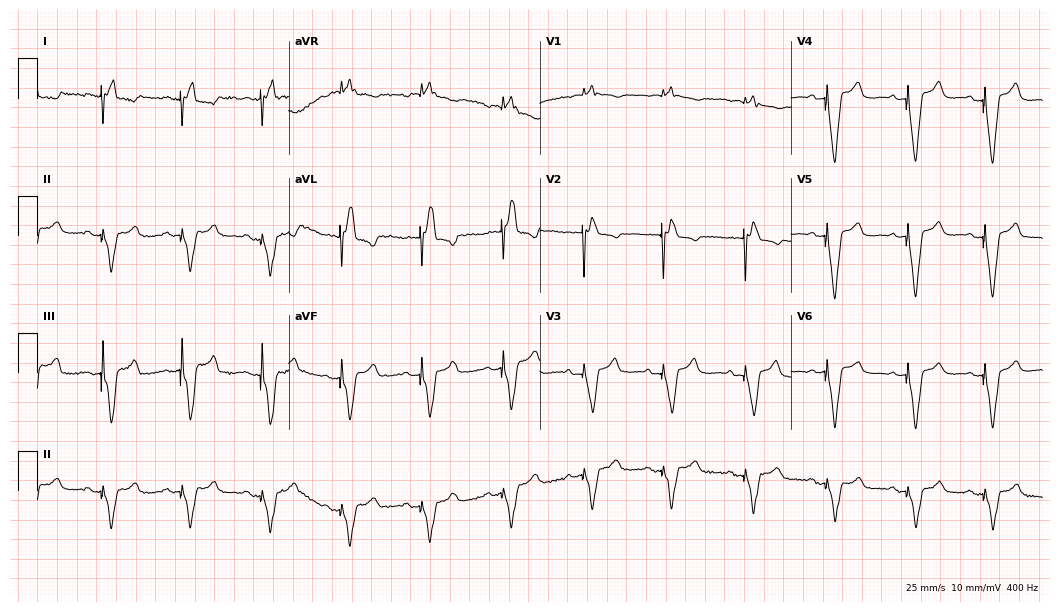
ECG (10.2-second recording at 400 Hz) — a 76-year-old female patient. Screened for six findings — first-degree AV block, right bundle branch block, left bundle branch block, sinus bradycardia, atrial fibrillation, sinus tachycardia — none is recorded.